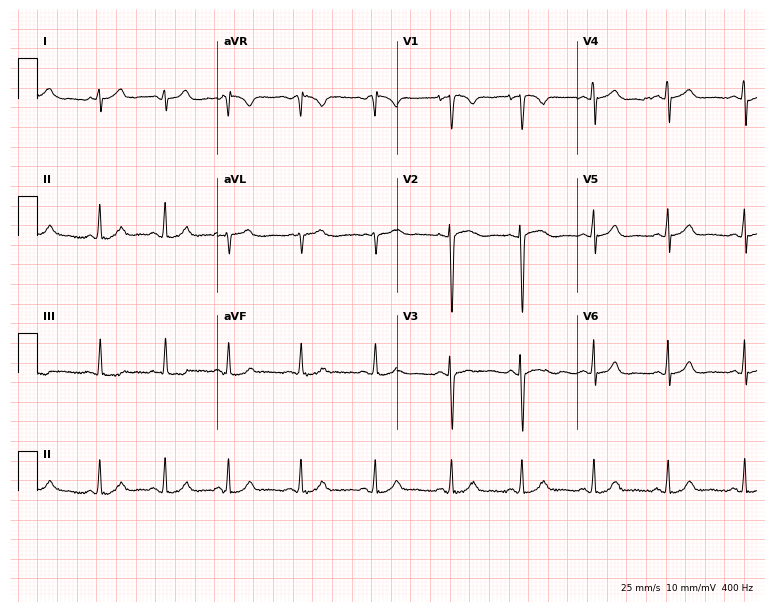
12-lead ECG from a 21-year-old female patient (7.3-second recording at 400 Hz). No first-degree AV block, right bundle branch block (RBBB), left bundle branch block (LBBB), sinus bradycardia, atrial fibrillation (AF) or sinus tachycardia recorded for this tracing. Other findings, if any, are not listed.